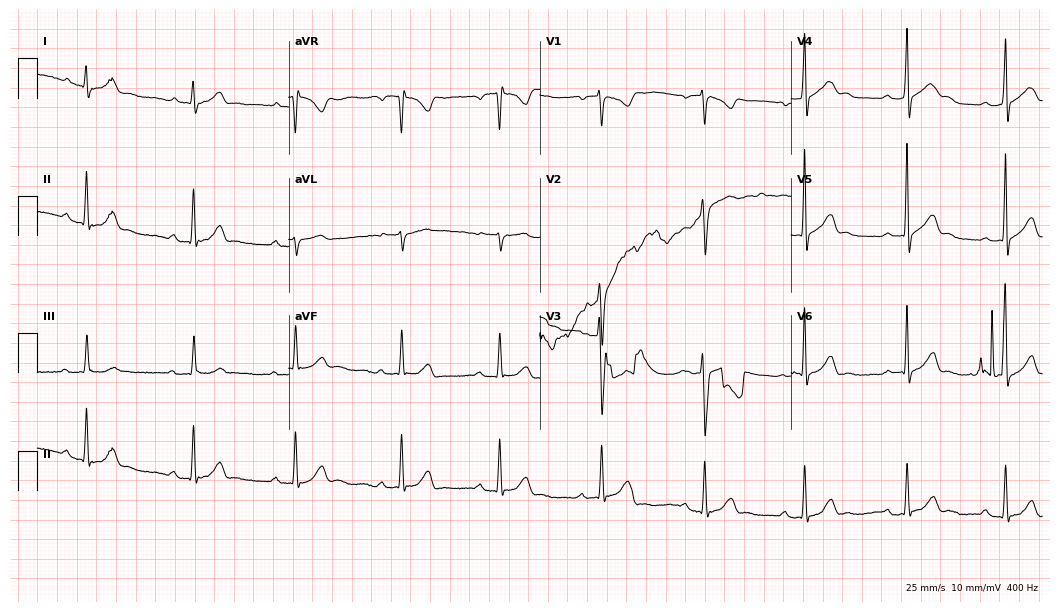
Electrocardiogram (10.2-second recording at 400 Hz), a 28-year-old man. Overall reading on record: normal ECG.